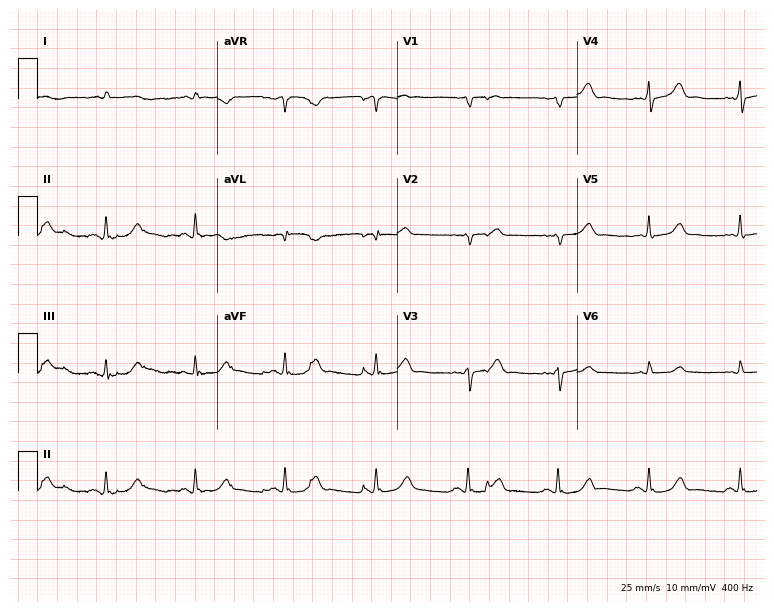
12-lead ECG from a 49-year-old male (7.3-second recording at 400 Hz). No first-degree AV block, right bundle branch block (RBBB), left bundle branch block (LBBB), sinus bradycardia, atrial fibrillation (AF) or sinus tachycardia recorded for this tracing. Only these six findings were labelled.